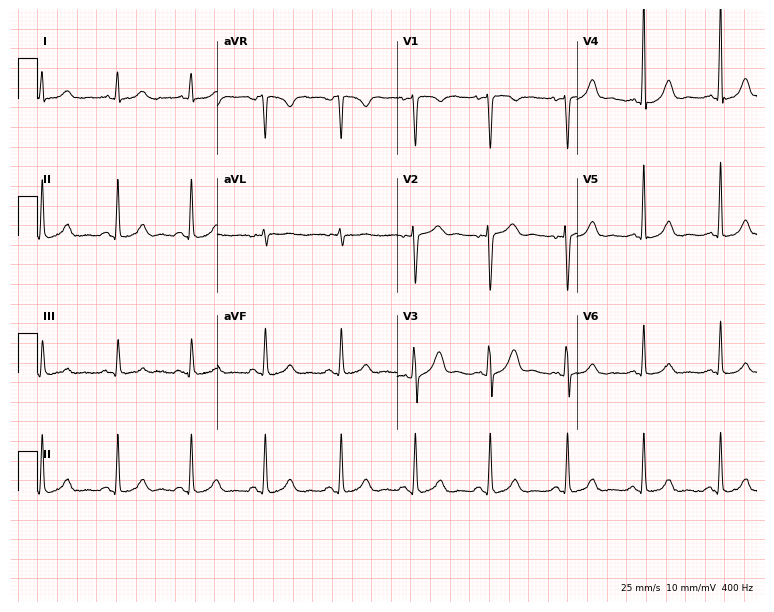
ECG (7.3-second recording at 400 Hz) — a woman, 31 years old. Labelled as a normal ECG.